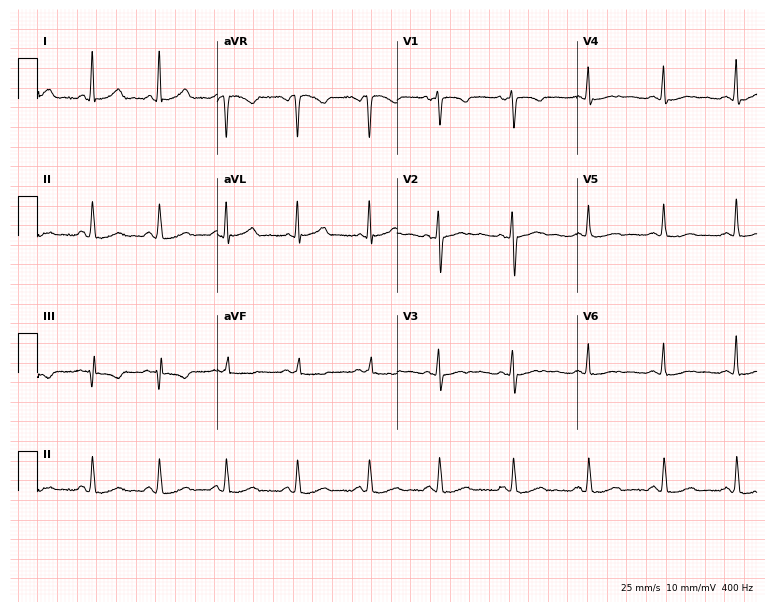
Resting 12-lead electrocardiogram. Patient: a woman, 38 years old. Read as a normal ECG.